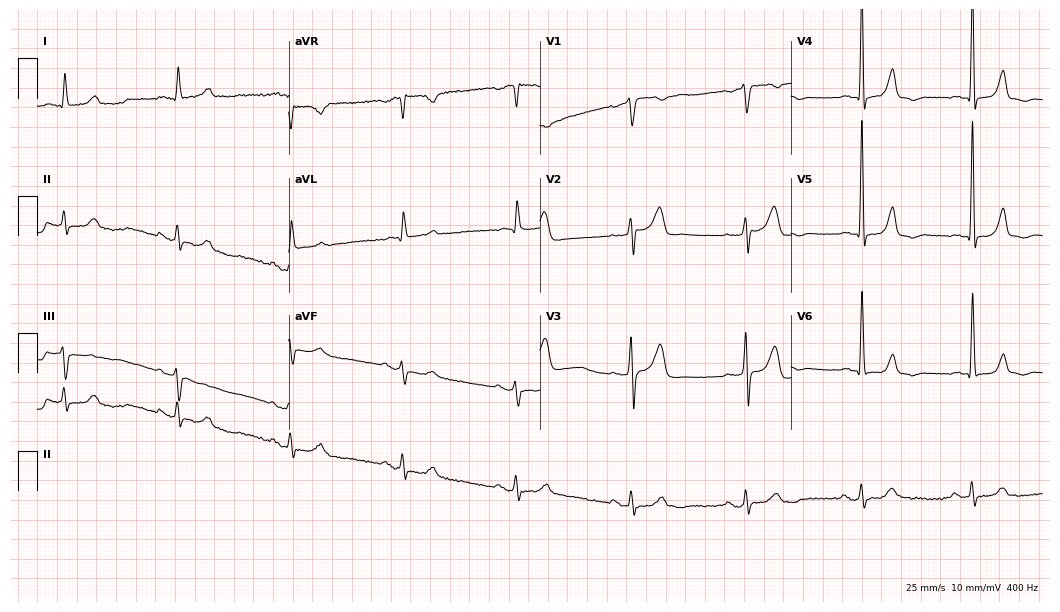
Electrocardiogram, a male patient, 81 years old. Overall reading on record: normal ECG.